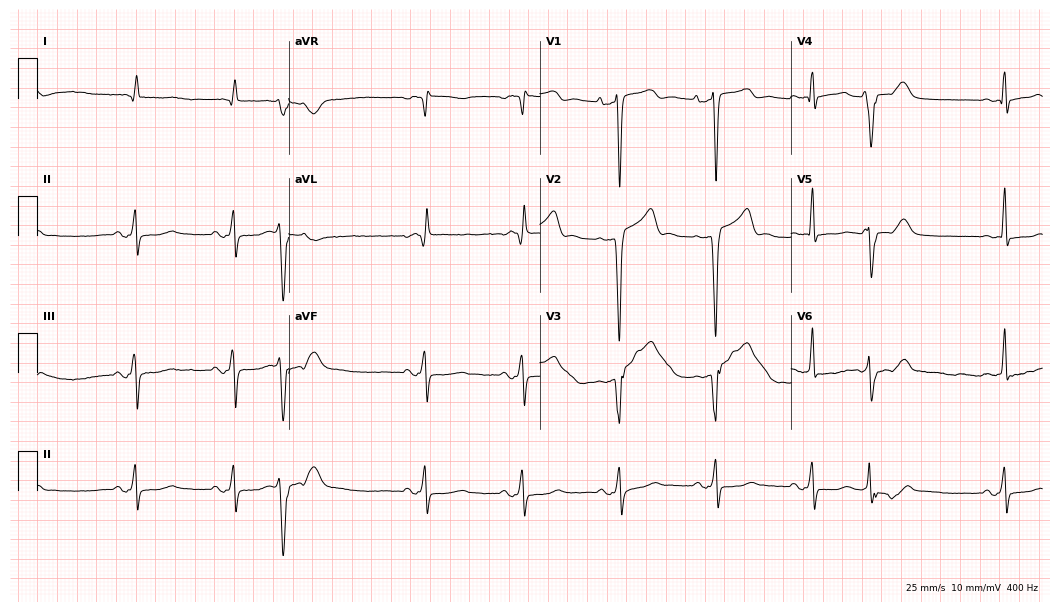
Resting 12-lead electrocardiogram. Patient: an 84-year-old woman. None of these six findings is recorded: first-degree AV block, right bundle branch block (RBBB), left bundle branch block (LBBB), sinus bradycardia, atrial fibrillation (AF), sinus tachycardia. Findings outside these six are not listed.